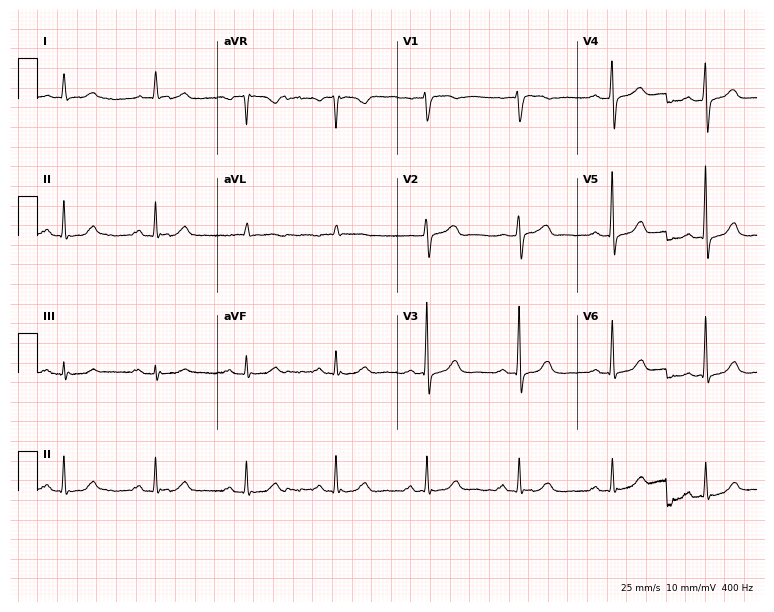
12-lead ECG from an 82-year-old woman. Screened for six findings — first-degree AV block, right bundle branch block, left bundle branch block, sinus bradycardia, atrial fibrillation, sinus tachycardia — none is recorded.